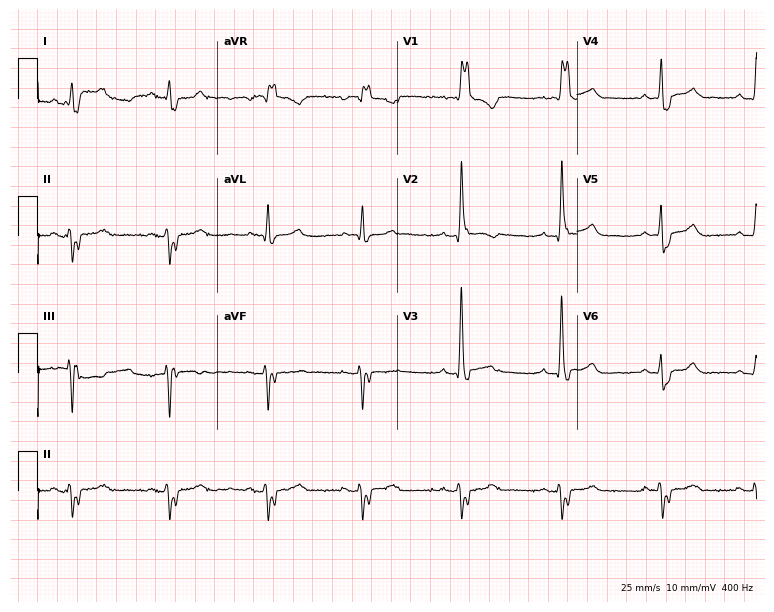
ECG — a male, 69 years old. Findings include right bundle branch block.